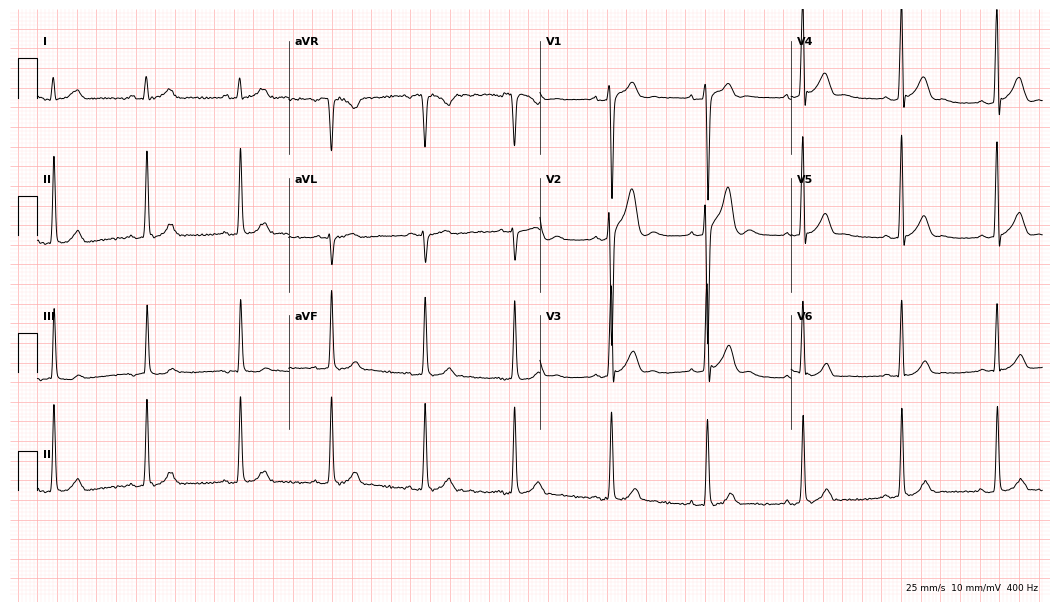
12-lead ECG from a male patient, 21 years old. Recorded interpretation: within normal limits.